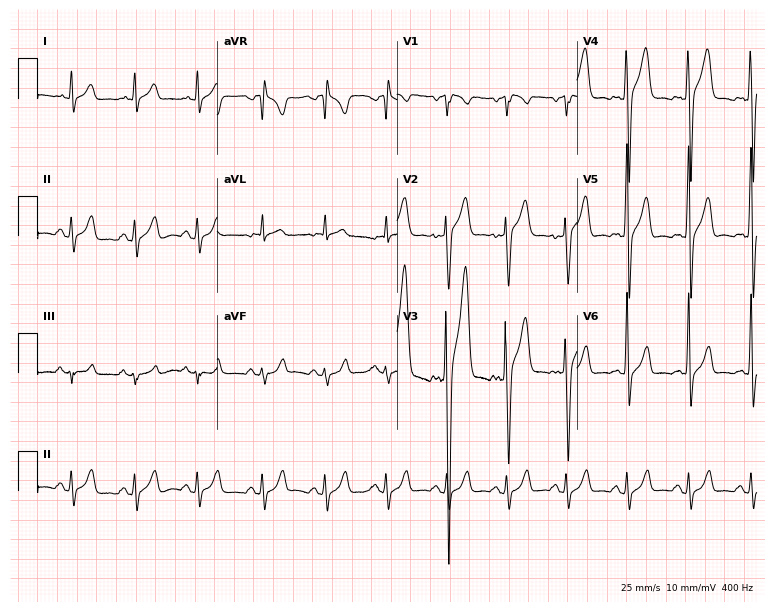
12-lead ECG from a male patient, 32 years old. Screened for six findings — first-degree AV block, right bundle branch block, left bundle branch block, sinus bradycardia, atrial fibrillation, sinus tachycardia — none is recorded. Findings outside these six are not listed.